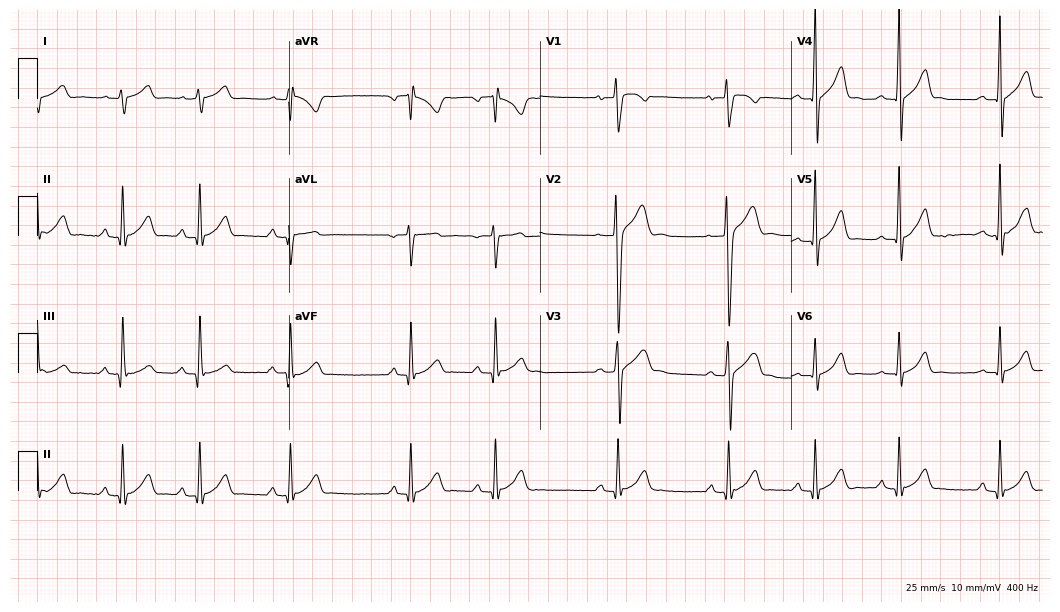
12-lead ECG from a 17-year-old male patient. Screened for six findings — first-degree AV block, right bundle branch block, left bundle branch block, sinus bradycardia, atrial fibrillation, sinus tachycardia — none is recorded.